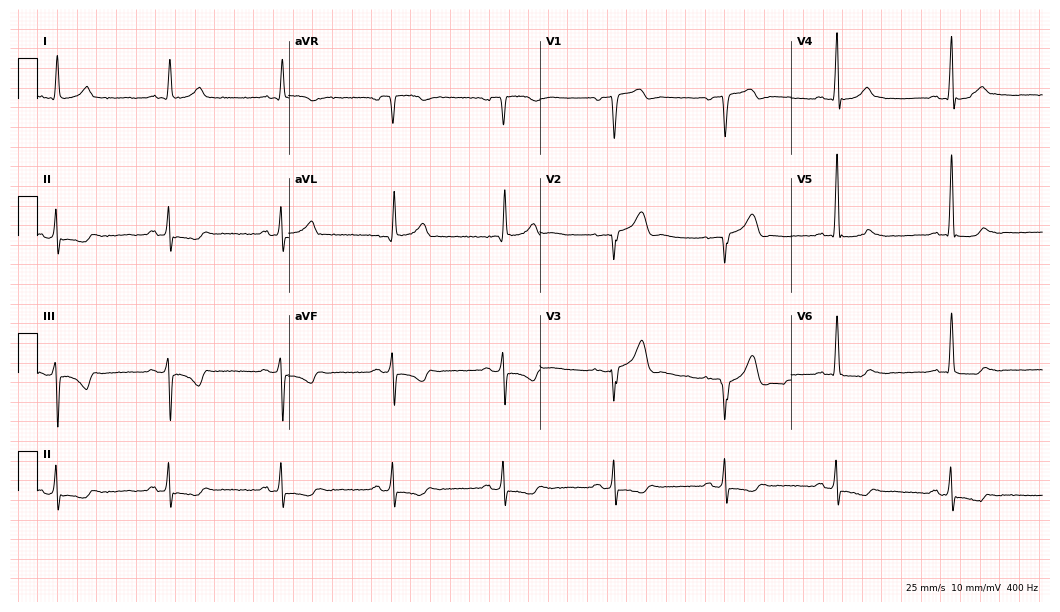
12-lead ECG (10.2-second recording at 400 Hz) from a 76-year-old man. Screened for six findings — first-degree AV block, right bundle branch block, left bundle branch block, sinus bradycardia, atrial fibrillation, sinus tachycardia — none is recorded.